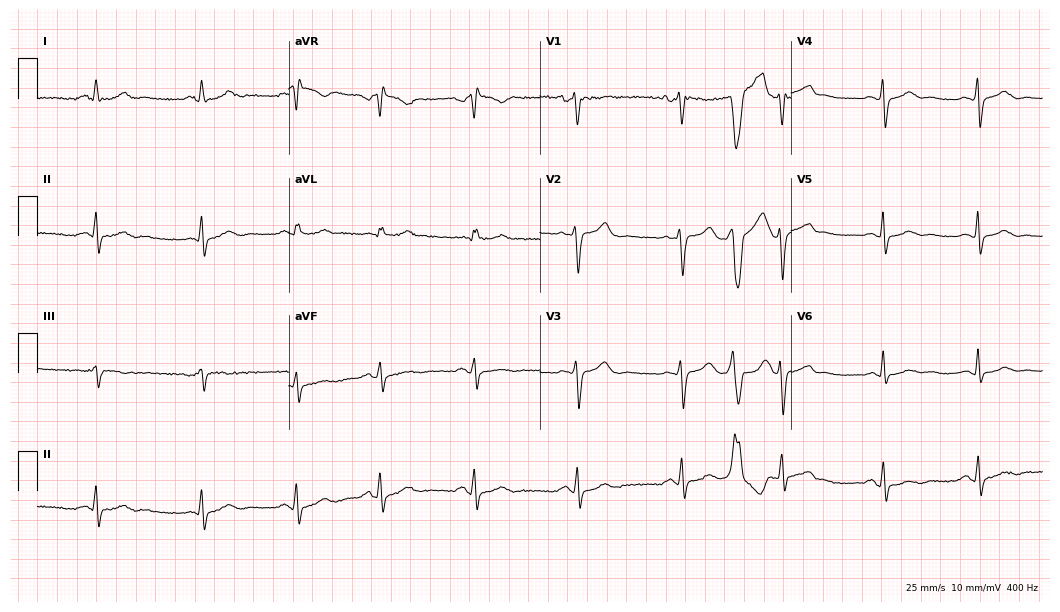
Electrocardiogram, a female, 52 years old. Of the six screened findings (first-degree AV block, right bundle branch block, left bundle branch block, sinus bradycardia, atrial fibrillation, sinus tachycardia), none is recorded. Only these six findings were labelled.